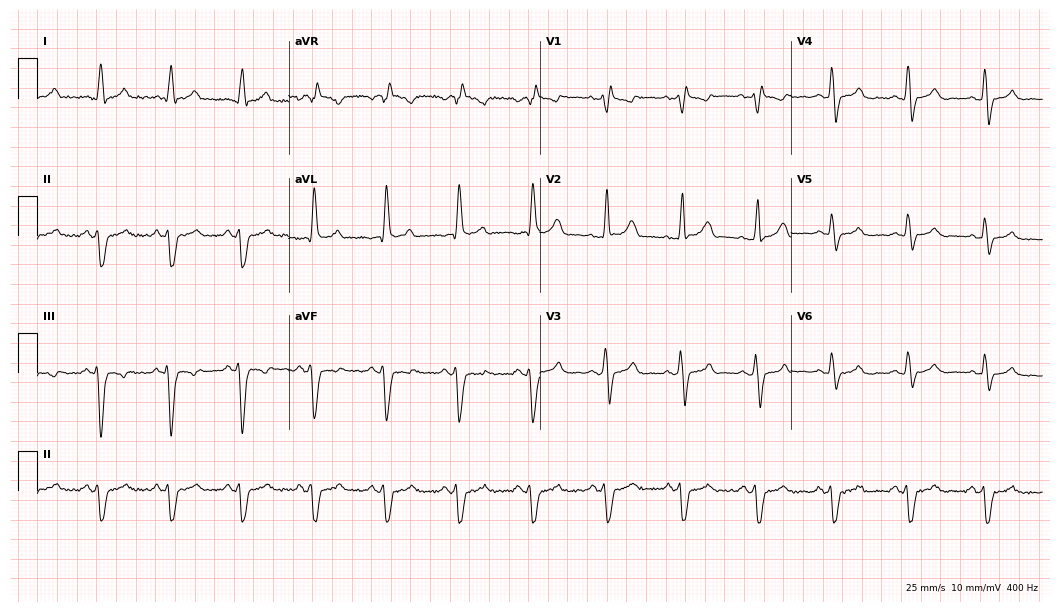
12-lead ECG from a man, 55 years old (10.2-second recording at 400 Hz). Shows right bundle branch block.